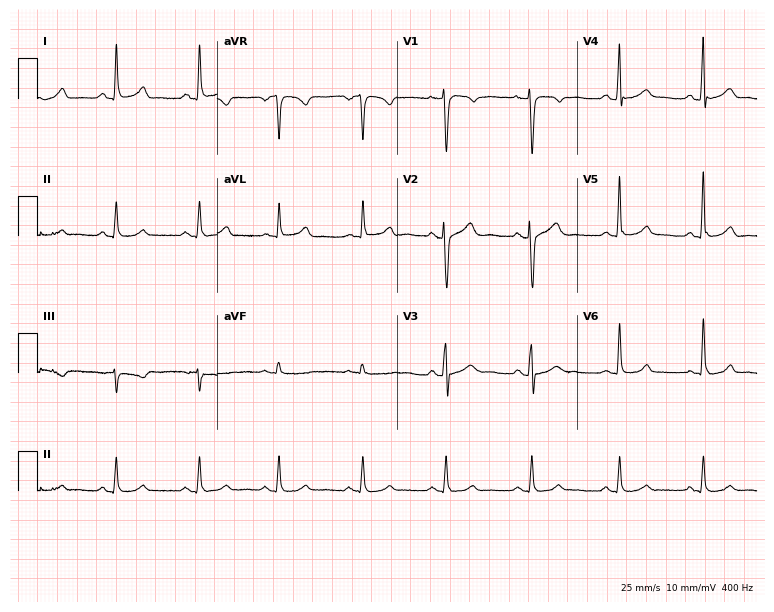
Electrocardiogram, a female patient, 53 years old. Of the six screened findings (first-degree AV block, right bundle branch block, left bundle branch block, sinus bradycardia, atrial fibrillation, sinus tachycardia), none is recorded.